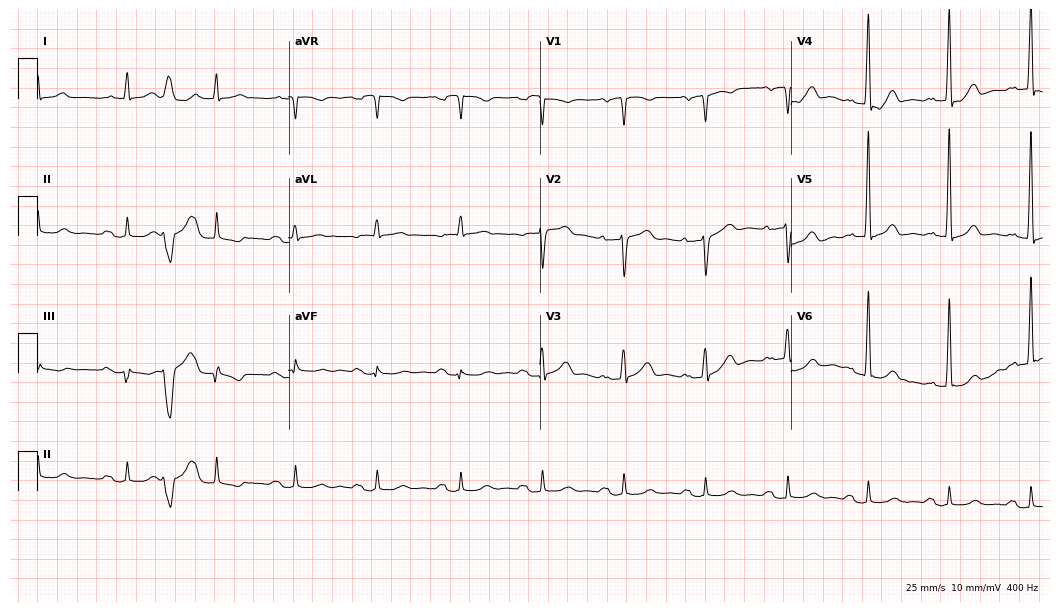
12-lead ECG (10.2-second recording at 400 Hz) from a 78-year-old male patient. Labelled as a normal ECG.